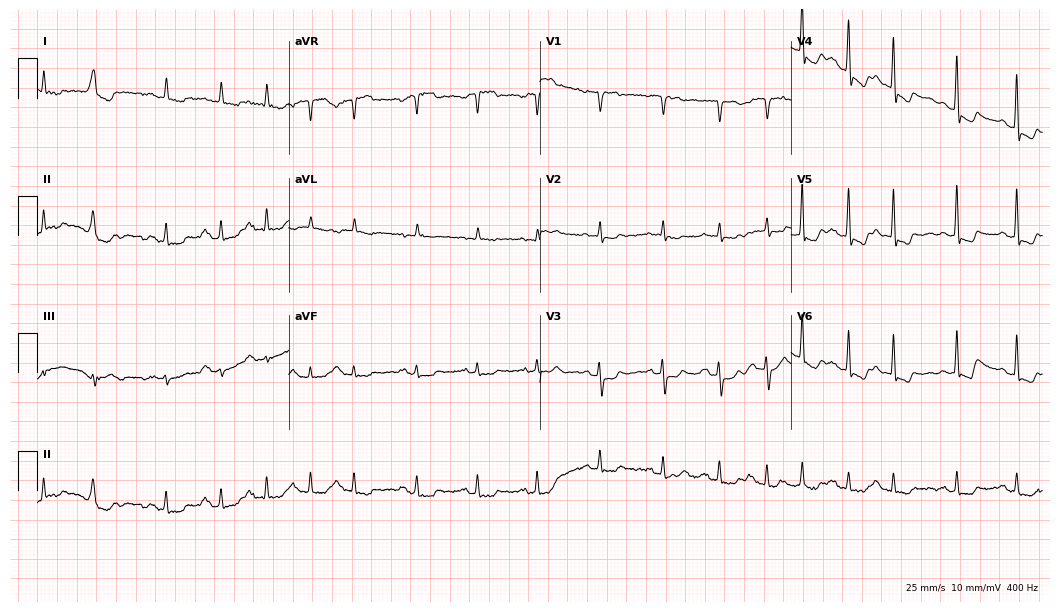
Resting 12-lead electrocardiogram. Patient: an 84-year-old male. None of these six findings is recorded: first-degree AV block, right bundle branch block, left bundle branch block, sinus bradycardia, atrial fibrillation, sinus tachycardia. Findings outside these six are not listed.